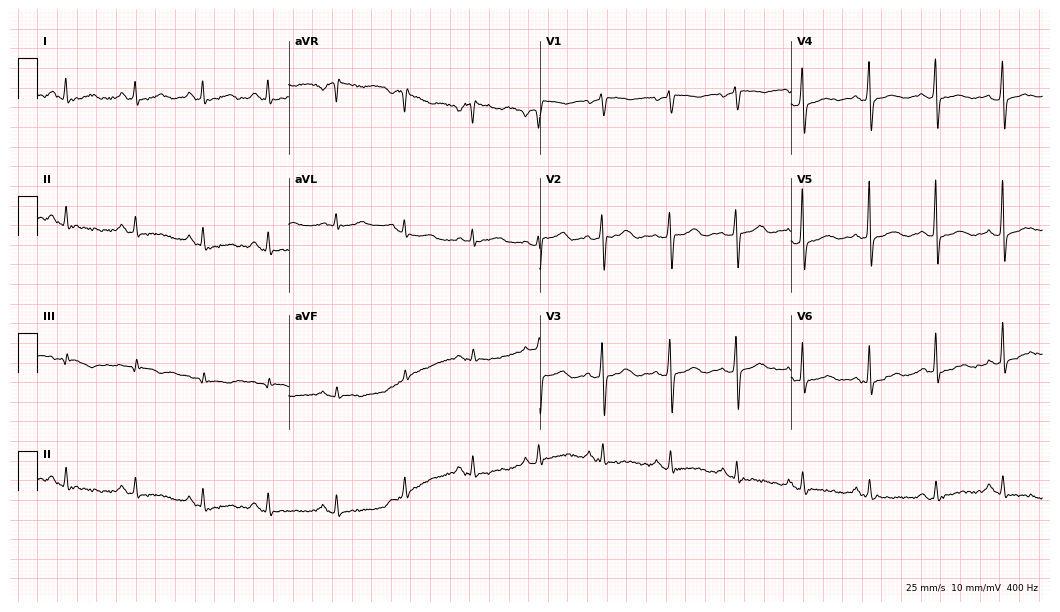
12-lead ECG from a female patient, 46 years old (10.2-second recording at 400 Hz). Recorded interpretation: within normal limits.